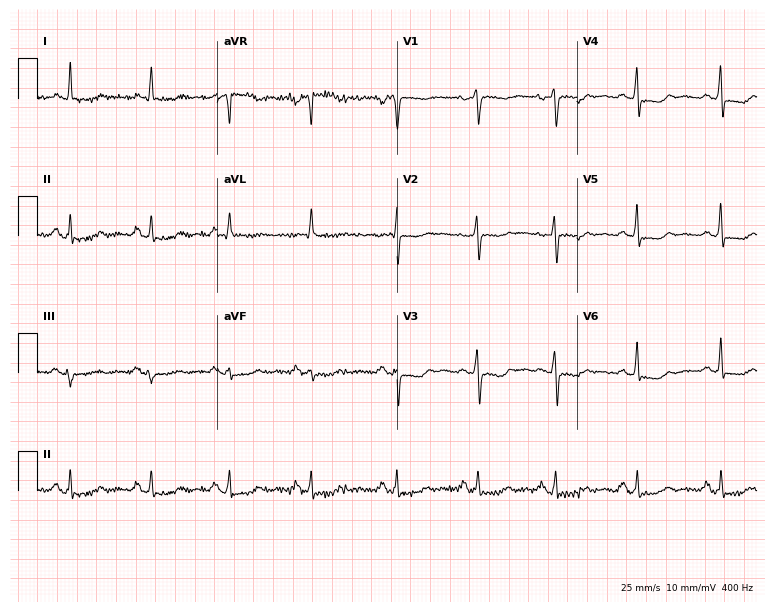
12-lead ECG from a female, 55 years old (7.3-second recording at 400 Hz). No first-degree AV block, right bundle branch block, left bundle branch block, sinus bradycardia, atrial fibrillation or sinus tachycardia recorded for this tracing.